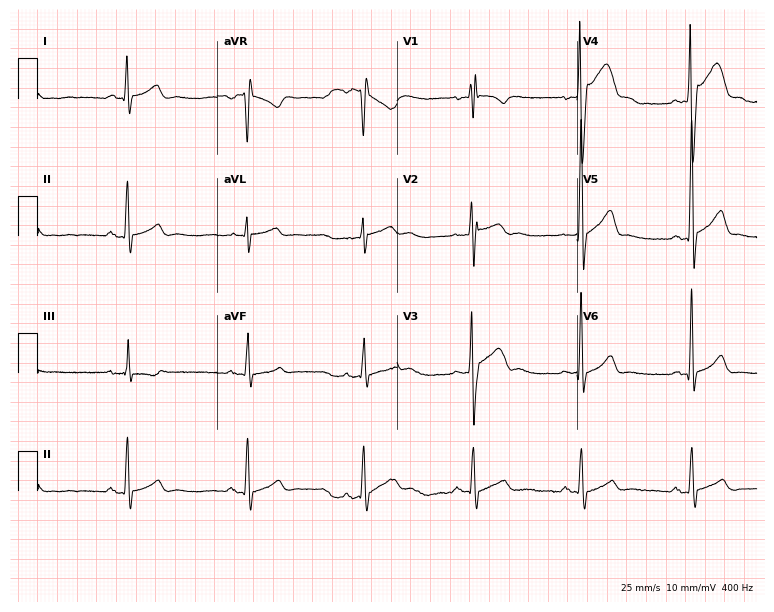
Standard 12-lead ECG recorded from a 24-year-old man (7.3-second recording at 400 Hz). None of these six findings is recorded: first-degree AV block, right bundle branch block (RBBB), left bundle branch block (LBBB), sinus bradycardia, atrial fibrillation (AF), sinus tachycardia. Other findings, if any, are not listed.